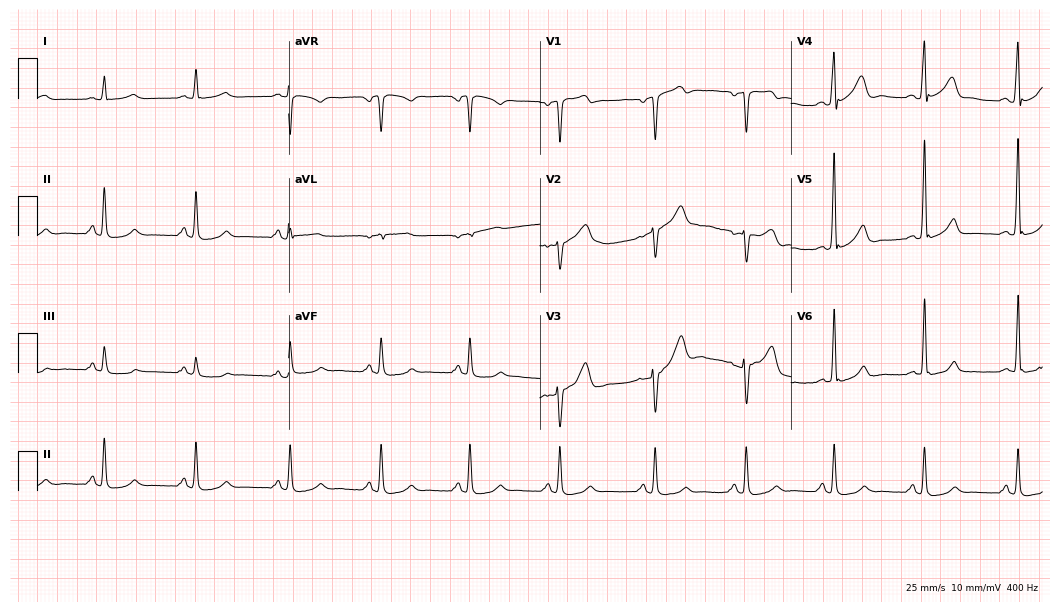
Resting 12-lead electrocardiogram (10.2-second recording at 400 Hz). Patient: a 51-year-old male. None of these six findings is recorded: first-degree AV block, right bundle branch block, left bundle branch block, sinus bradycardia, atrial fibrillation, sinus tachycardia. Findings outside these six are not listed.